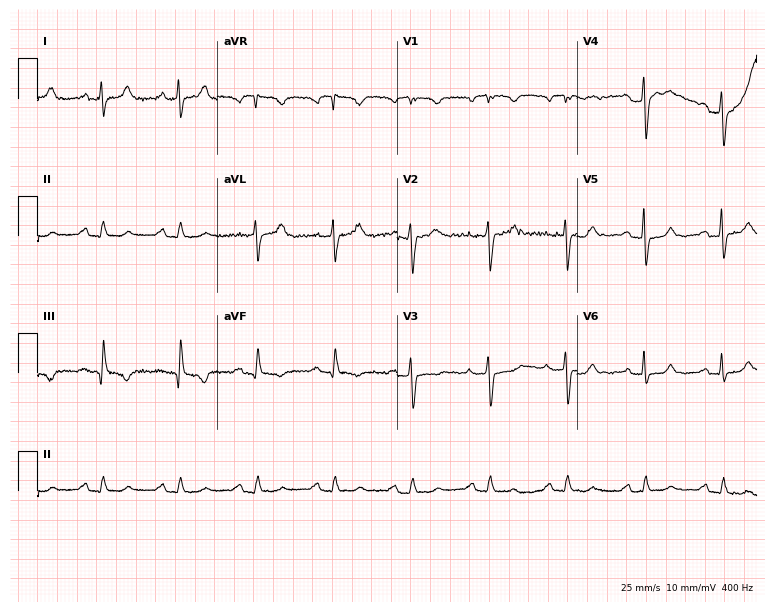
Resting 12-lead electrocardiogram (7.3-second recording at 400 Hz). Patient: a woman, 67 years old. None of these six findings is recorded: first-degree AV block, right bundle branch block, left bundle branch block, sinus bradycardia, atrial fibrillation, sinus tachycardia.